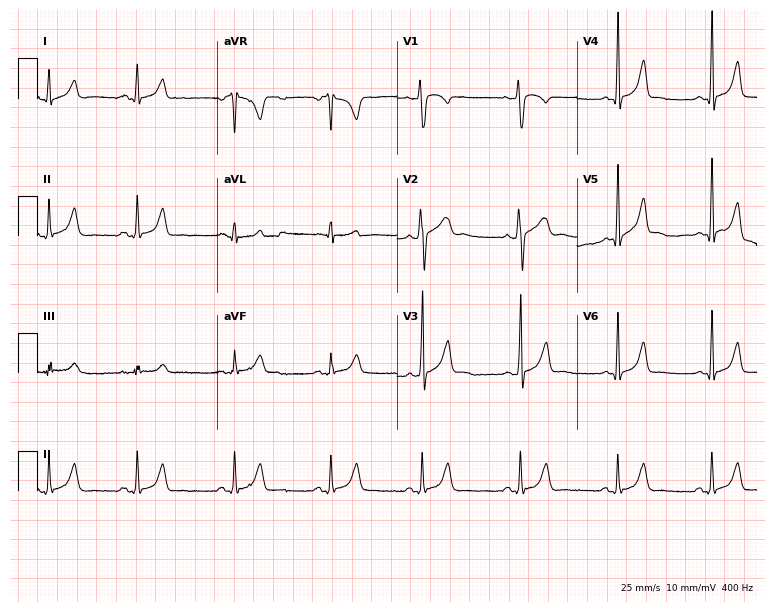
12-lead ECG from a 19-year-old male. Labelled as a normal ECG.